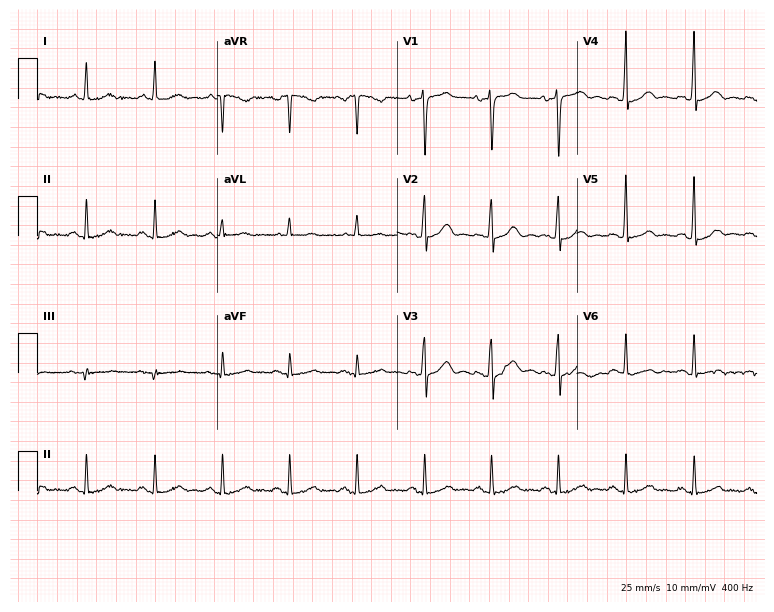
Electrocardiogram, a male patient, 59 years old. Of the six screened findings (first-degree AV block, right bundle branch block (RBBB), left bundle branch block (LBBB), sinus bradycardia, atrial fibrillation (AF), sinus tachycardia), none is recorded.